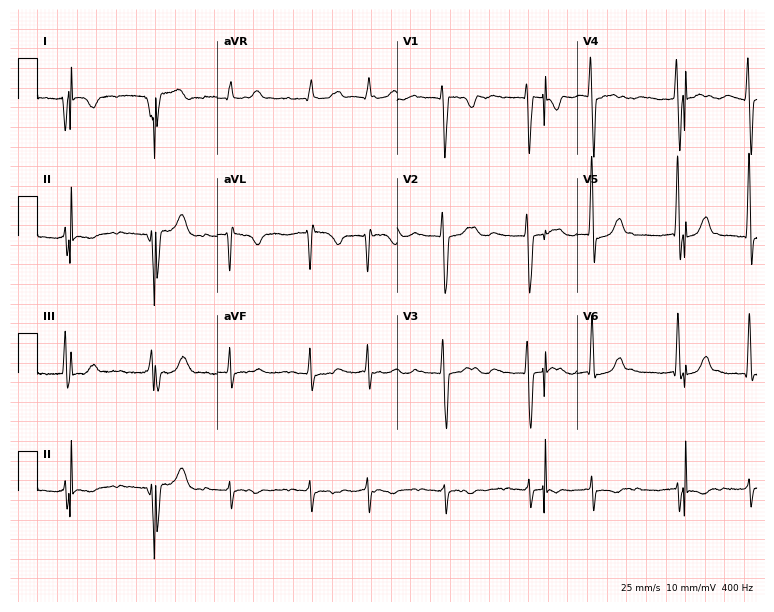
Resting 12-lead electrocardiogram. Patient: a female, 49 years old. None of these six findings is recorded: first-degree AV block, right bundle branch block, left bundle branch block, sinus bradycardia, atrial fibrillation, sinus tachycardia.